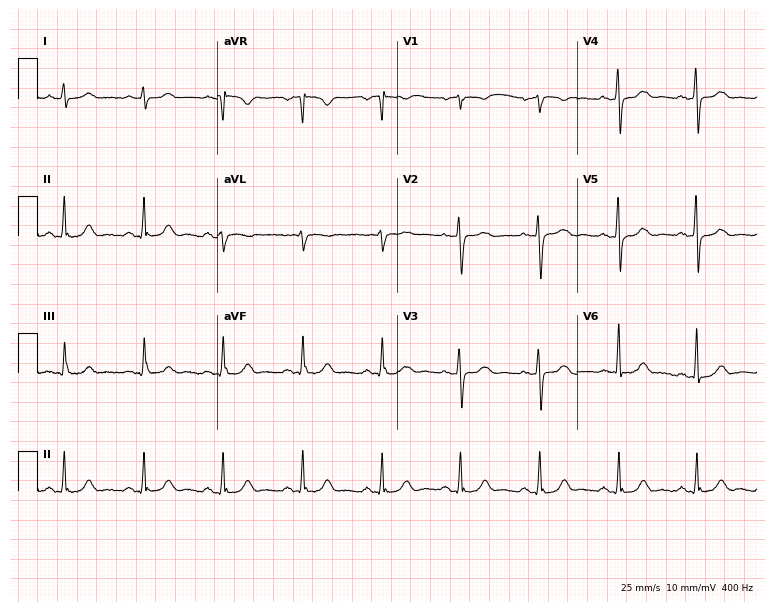
ECG — a female patient, 74 years old. Labelled as a normal ECG.